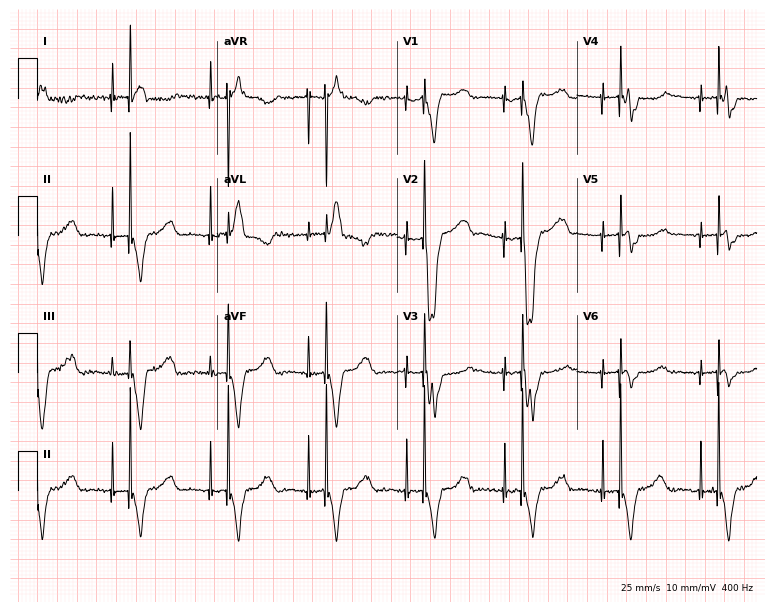
Electrocardiogram, a female patient, 67 years old. Of the six screened findings (first-degree AV block, right bundle branch block, left bundle branch block, sinus bradycardia, atrial fibrillation, sinus tachycardia), none is recorded. Findings outside these six are not listed.